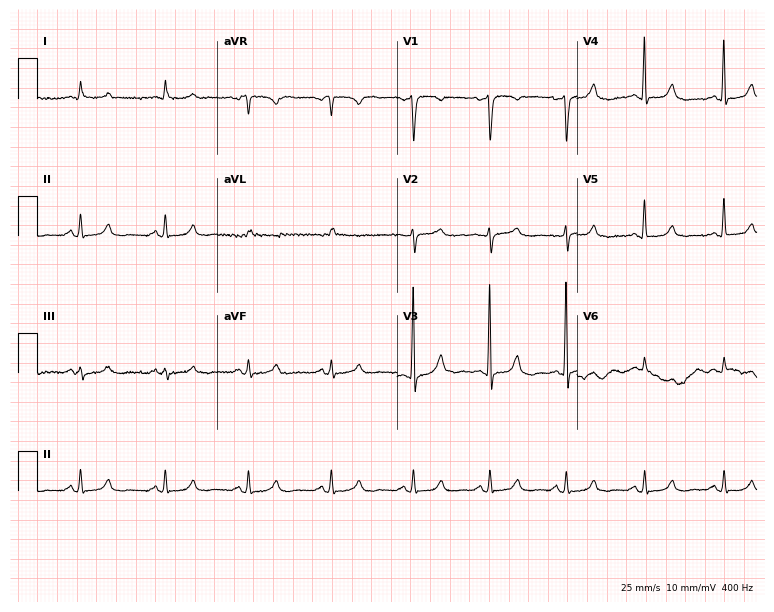
Standard 12-lead ECG recorded from a female, 65 years old. Read as a normal ECG.